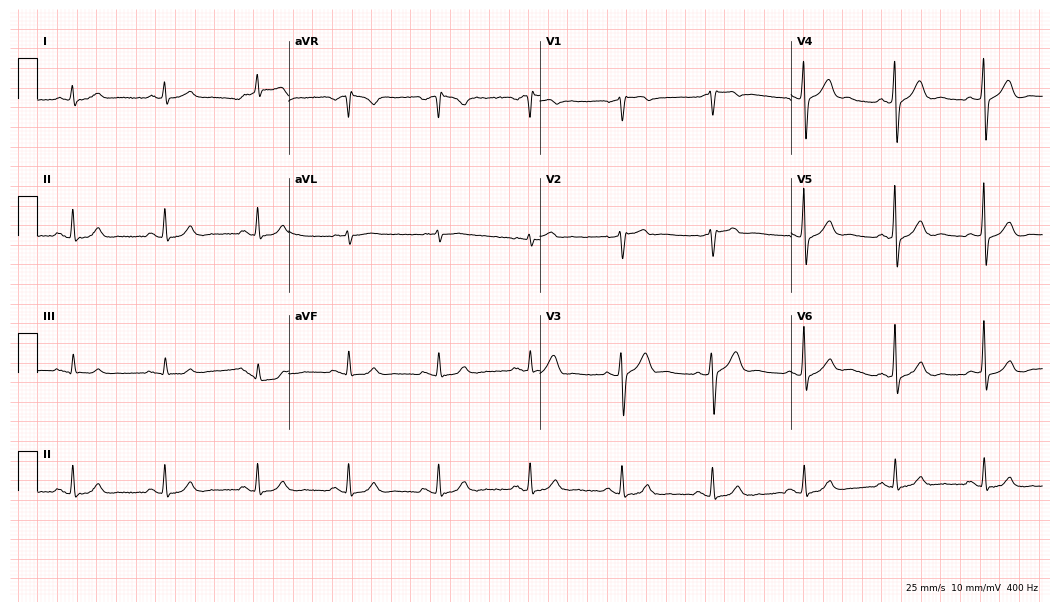
Resting 12-lead electrocardiogram (10.2-second recording at 400 Hz). Patient: a 61-year-old male. Read as a normal ECG.